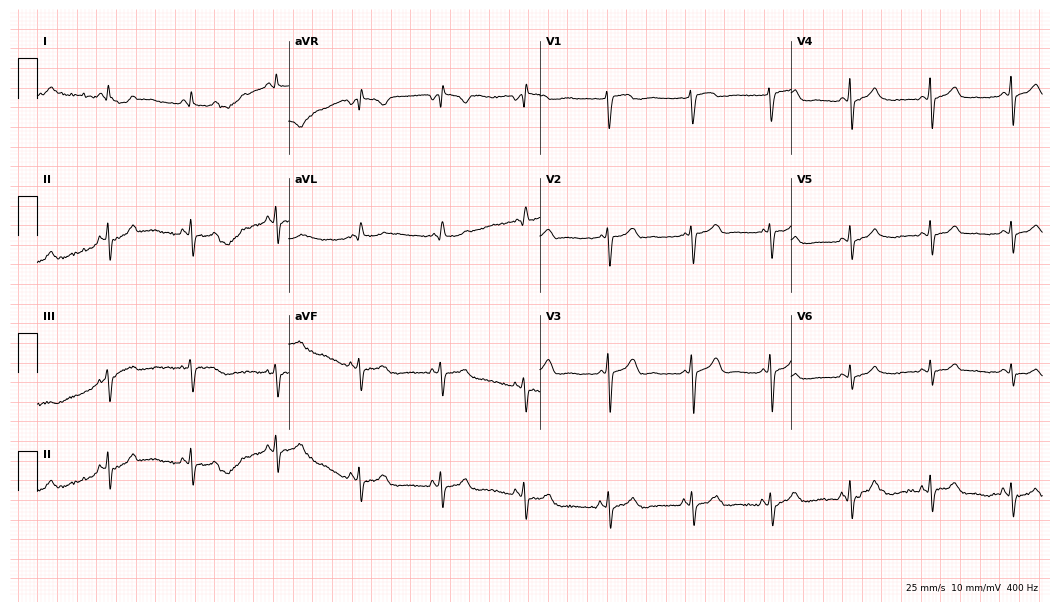
12-lead ECG from a 23-year-old woman. No first-degree AV block, right bundle branch block, left bundle branch block, sinus bradycardia, atrial fibrillation or sinus tachycardia recorded for this tracing. Only these six findings were labelled.